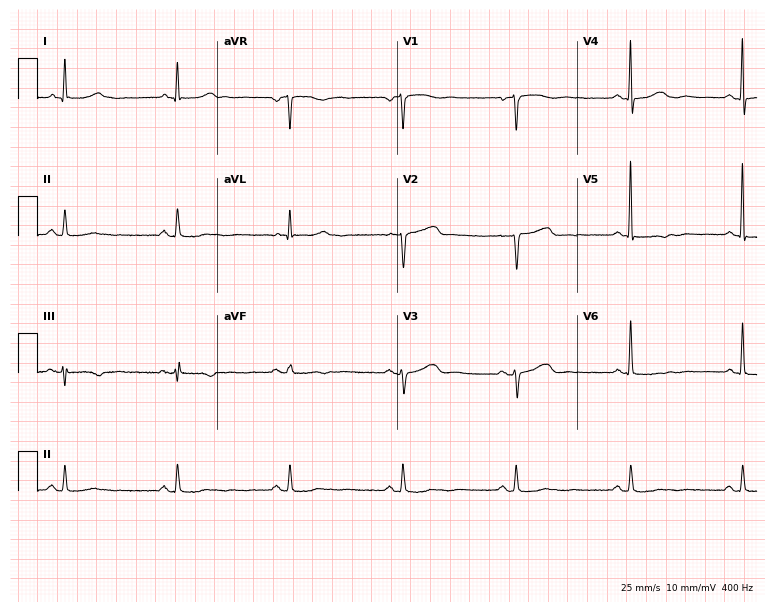
Standard 12-lead ECG recorded from a 70-year-old female. None of these six findings is recorded: first-degree AV block, right bundle branch block, left bundle branch block, sinus bradycardia, atrial fibrillation, sinus tachycardia.